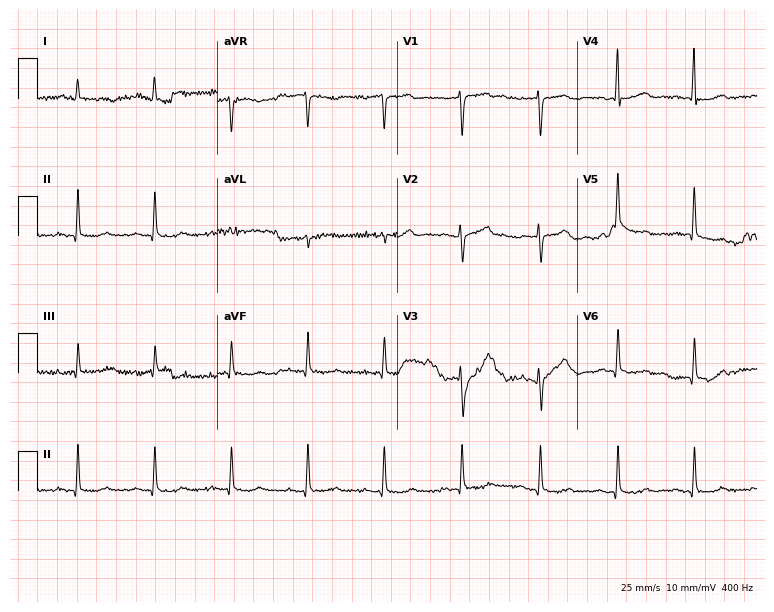
Electrocardiogram, a male patient, 66 years old. Of the six screened findings (first-degree AV block, right bundle branch block (RBBB), left bundle branch block (LBBB), sinus bradycardia, atrial fibrillation (AF), sinus tachycardia), none is recorded. Only these six findings were labelled.